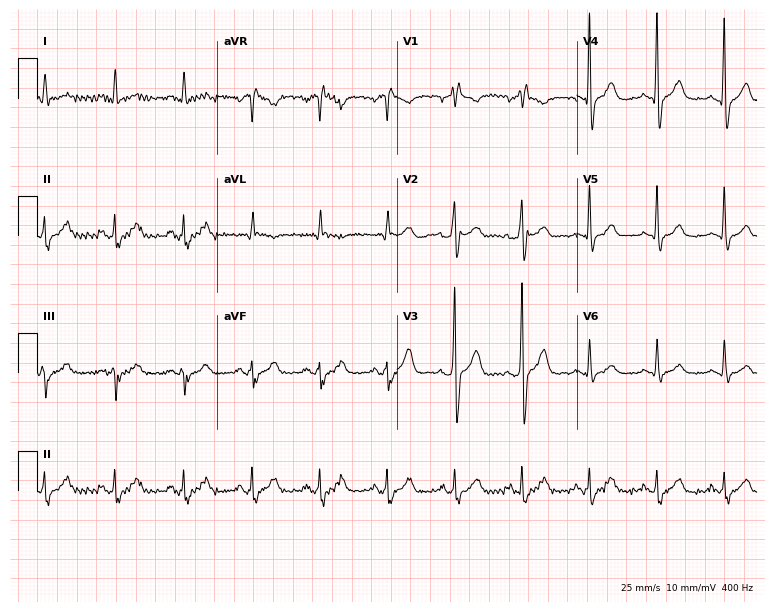
Standard 12-lead ECG recorded from a man, 67 years old. The tracing shows right bundle branch block (RBBB).